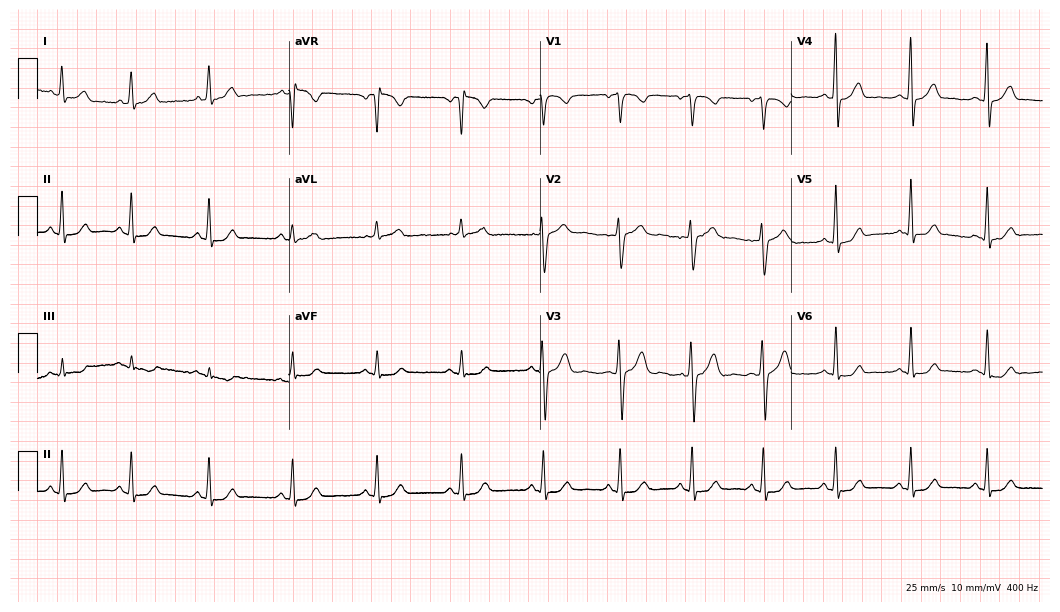
Standard 12-lead ECG recorded from a woman, 36 years old. Read as a normal ECG.